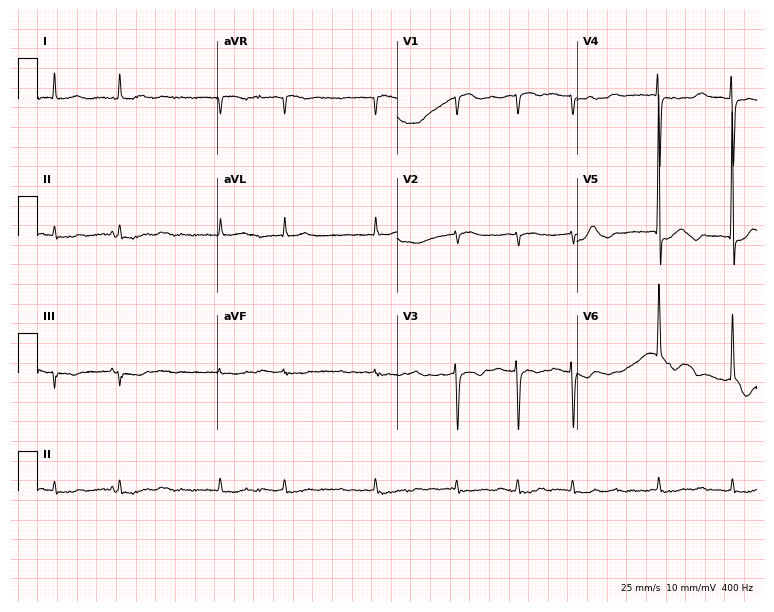
Resting 12-lead electrocardiogram (7.3-second recording at 400 Hz). Patient: an 82-year-old female. The tracing shows atrial fibrillation.